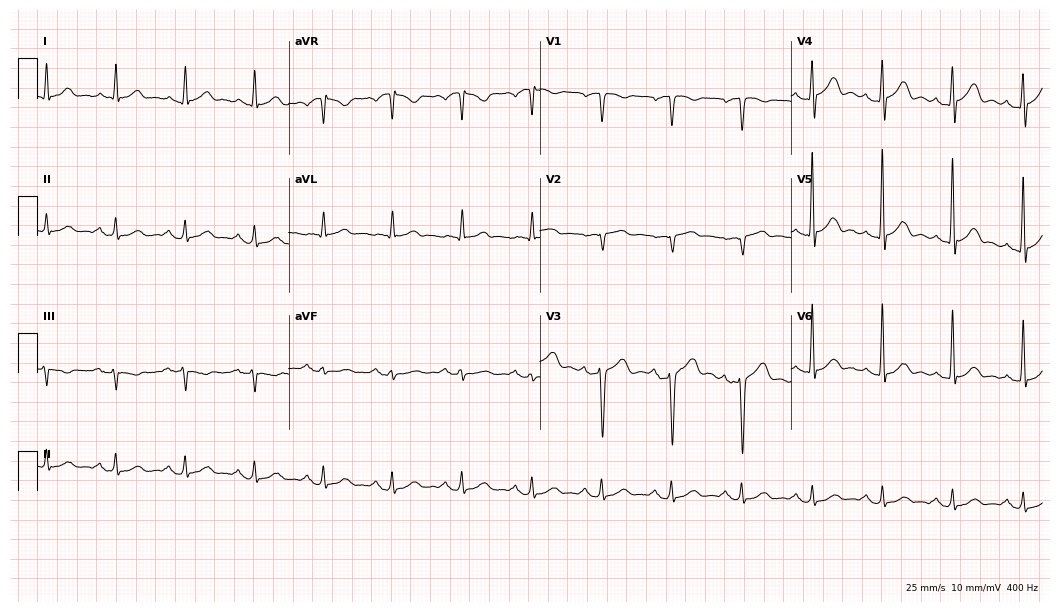
Standard 12-lead ECG recorded from a male, 62 years old (10.2-second recording at 400 Hz). None of these six findings is recorded: first-degree AV block, right bundle branch block, left bundle branch block, sinus bradycardia, atrial fibrillation, sinus tachycardia. Other findings, if any, are not listed.